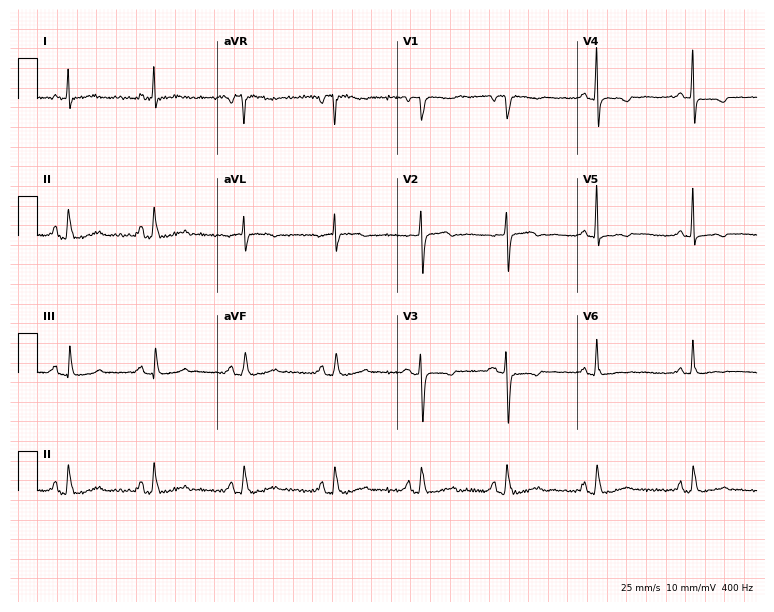
Electrocardiogram (7.3-second recording at 400 Hz), a 55-year-old female. Of the six screened findings (first-degree AV block, right bundle branch block, left bundle branch block, sinus bradycardia, atrial fibrillation, sinus tachycardia), none is recorded. Other findings, if any, are not listed.